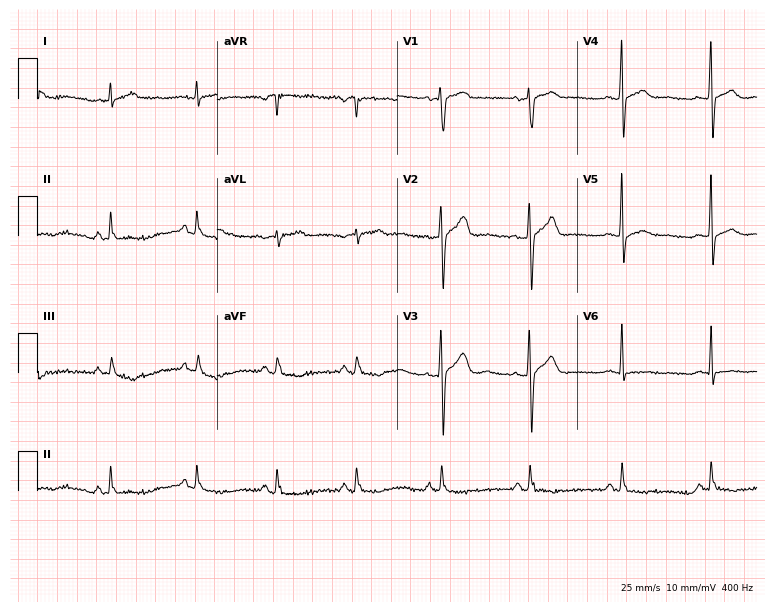
12-lead ECG from a male, 48 years old (7.3-second recording at 400 Hz). Recorded interpretation: within normal limits.